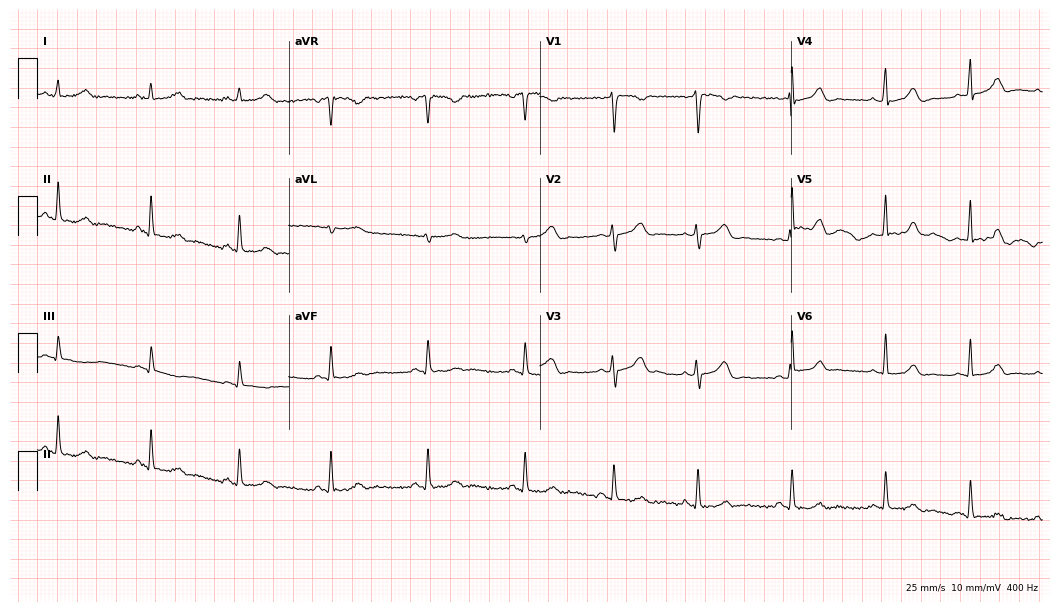
Standard 12-lead ECG recorded from a female, 24 years old. None of these six findings is recorded: first-degree AV block, right bundle branch block (RBBB), left bundle branch block (LBBB), sinus bradycardia, atrial fibrillation (AF), sinus tachycardia. Findings outside these six are not listed.